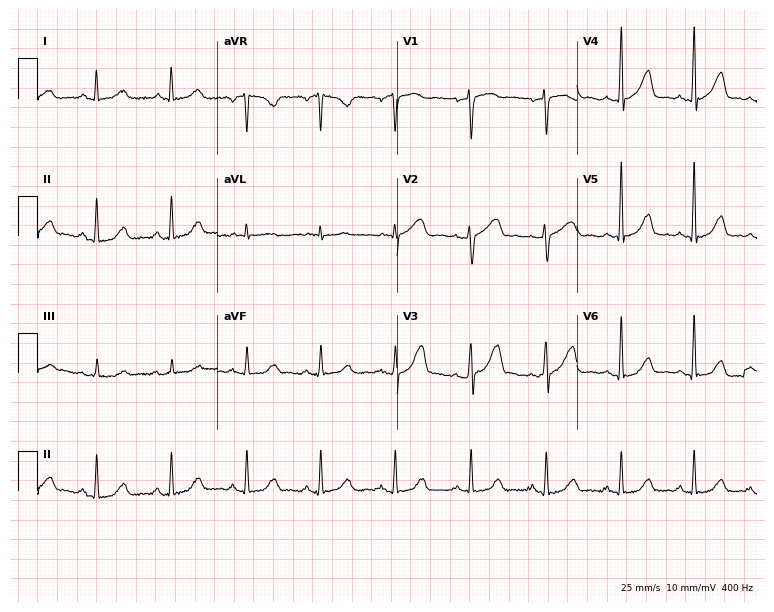
ECG (7.3-second recording at 400 Hz) — a 54-year-old female patient. Screened for six findings — first-degree AV block, right bundle branch block, left bundle branch block, sinus bradycardia, atrial fibrillation, sinus tachycardia — none is recorded. Findings outside these six are not listed.